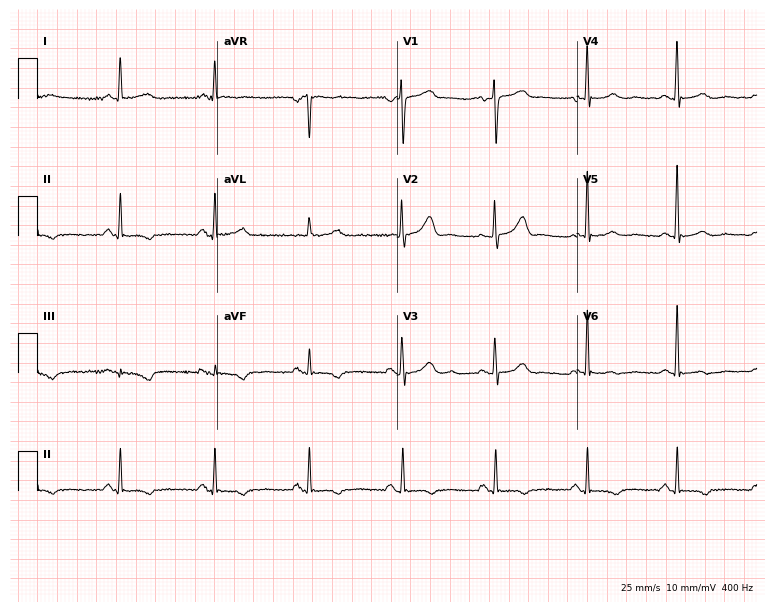
Electrocardiogram, a woman, 79 years old. Of the six screened findings (first-degree AV block, right bundle branch block, left bundle branch block, sinus bradycardia, atrial fibrillation, sinus tachycardia), none is recorded. Other findings, if any, are not listed.